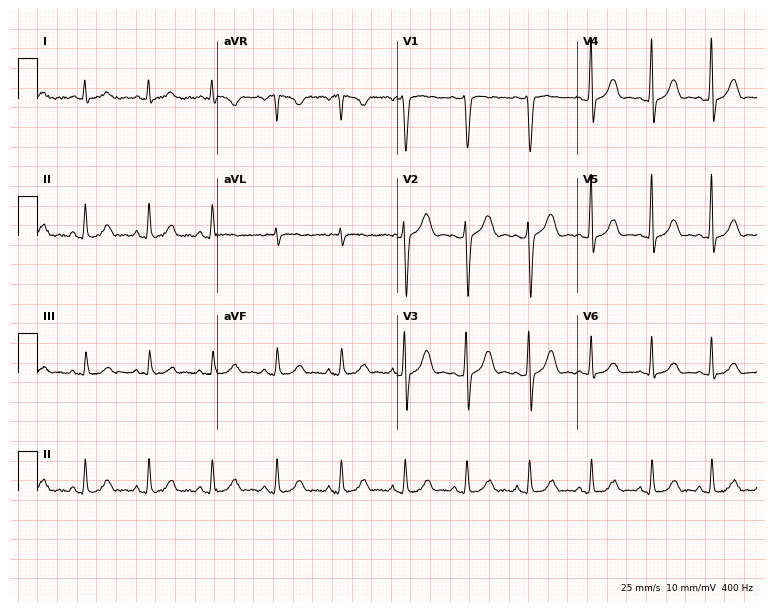
Standard 12-lead ECG recorded from a female, 38 years old. None of these six findings is recorded: first-degree AV block, right bundle branch block, left bundle branch block, sinus bradycardia, atrial fibrillation, sinus tachycardia. Findings outside these six are not listed.